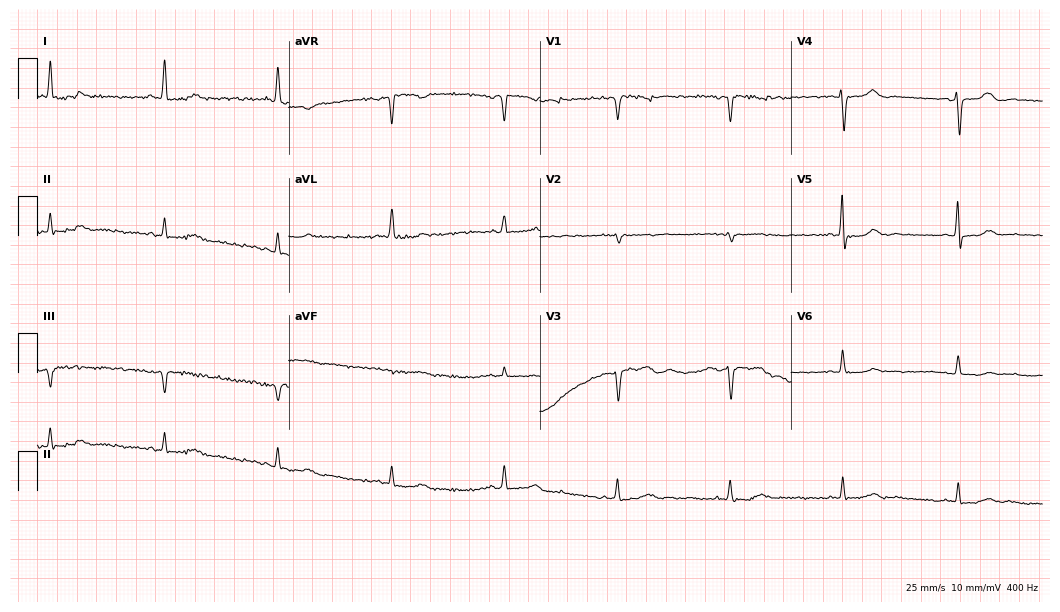
Resting 12-lead electrocardiogram. Patient: a woman, 71 years old. None of these six findings is recorded: first-degree AV block, right bundle branch block, left bundle branch block, sinus bradycardia, atrial fibrillation, sinus tachycardia. Other findings, if any, are not listed.